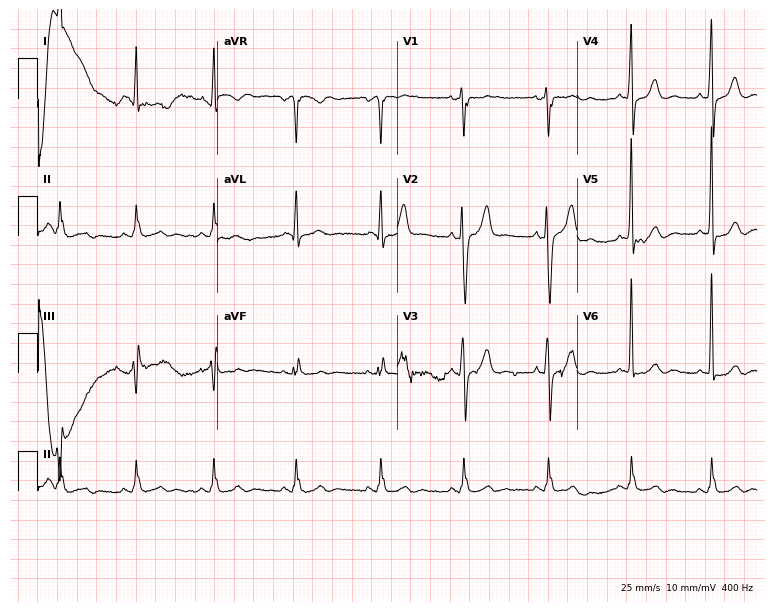
12-lead ECG from a 39-year-old male. Screened for six findings — first-degree AV block, right bundle branch block, left bundle branch block, sinus bradycardia, atrial fibrillation, sinus tachycardia — none is recorded. Findings outside these six are not listed.